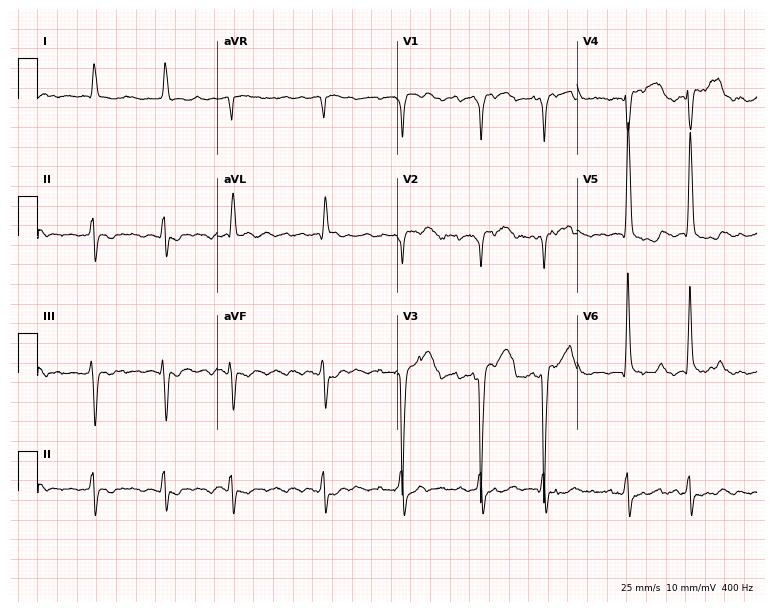
Standard 12-lead ECG recorded from a male patient, 82 years old. The tracing shows left bundle branch block (LBBB), atrial fibrillation (AF).